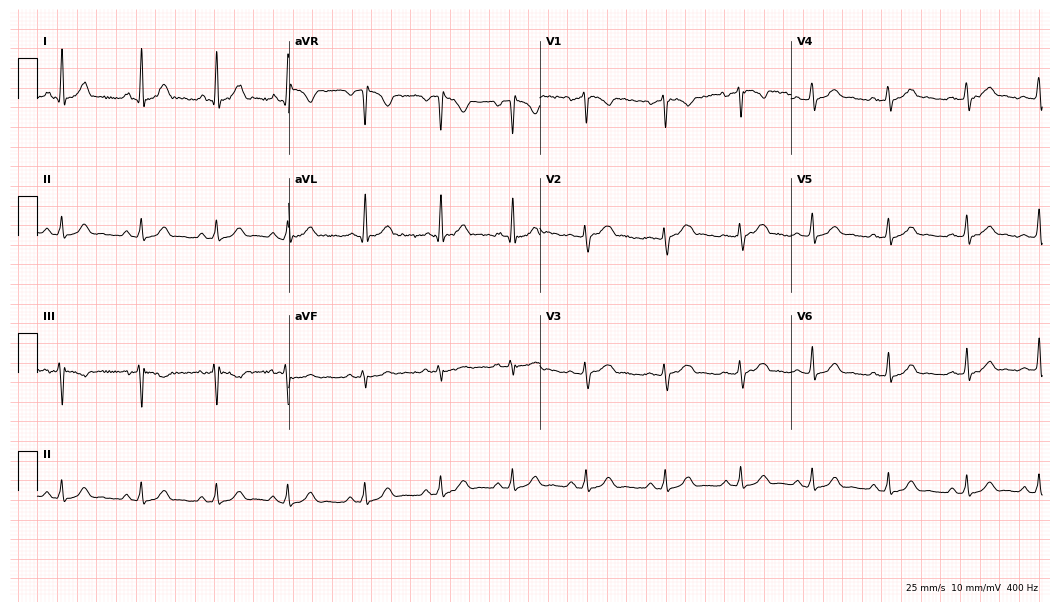
Electrocardiogram (10.2-second recording at 400 Hz), a woman, 21 years old. Overall reading on record: normal ECG.